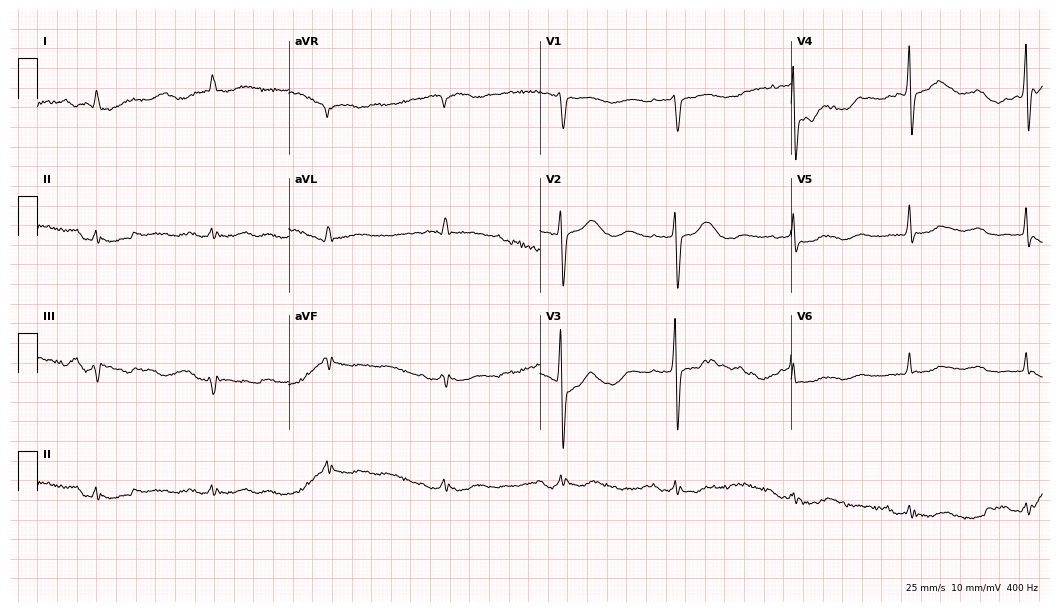
ECG — a male patient, 84 years old. Screened for six findings — first-degree AV block, right bundle branch block, left bundle branch block, sinus bradycardia, atrial fibrillation, sinus tachycardia — none is recorded.